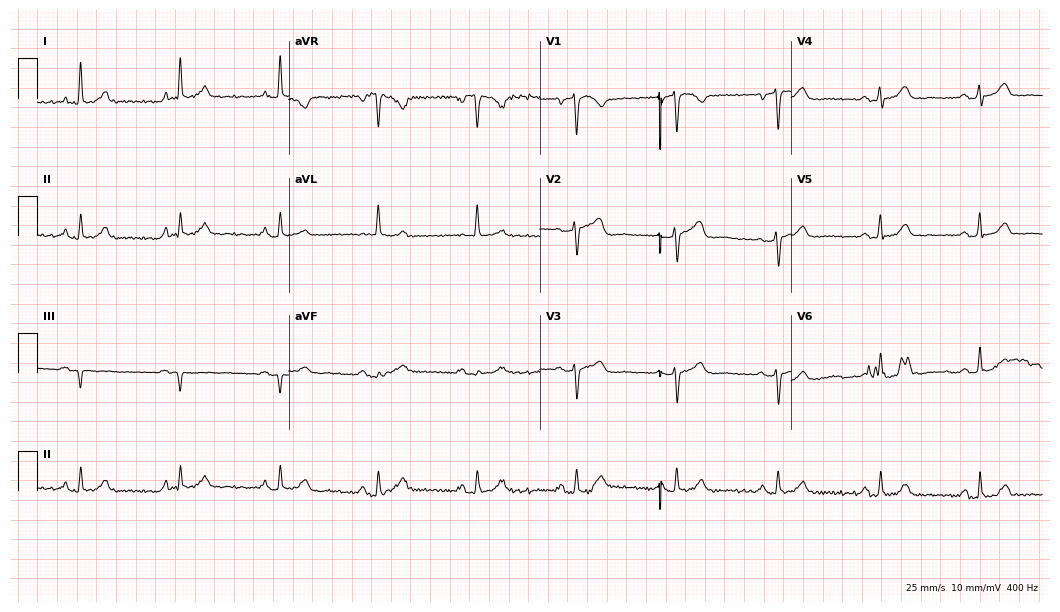
Electrocardiogram, a 64-year-old female. Of the six screened findings (first-degree AV block, right bundle branch block, left bundle branch block, sinus bradycardia, atrial fibrillation, sinus tachycardia), none is recorded. Other findings, if any, are not listed.